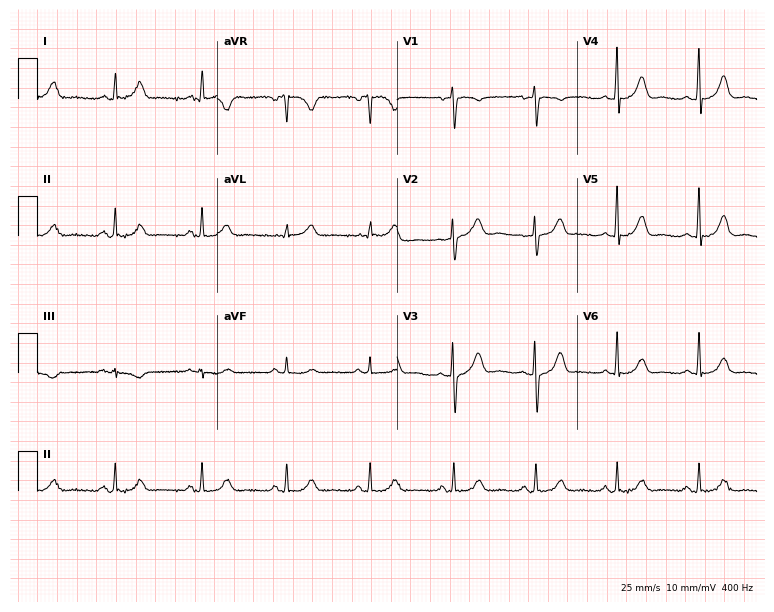
Standard 12-lead ECG recorded from a 43-year-old female (7.3-second recording at 400 Hz). Read as a normal ECG.